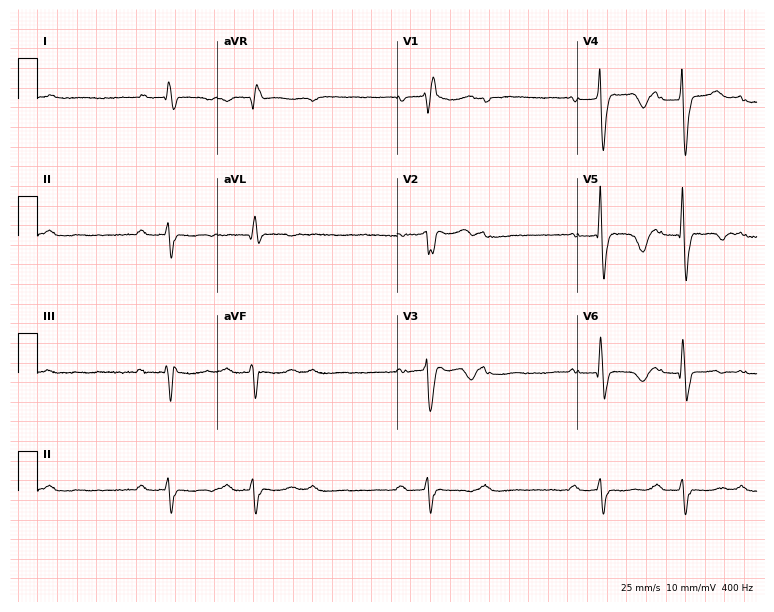
Standard 12-lead ECG recorded from a 63-year-old man. The tracing shows first-degree AV block, right bundle branch block, sinus bradycardia (a sinus rate of 50 beats per minute or less).